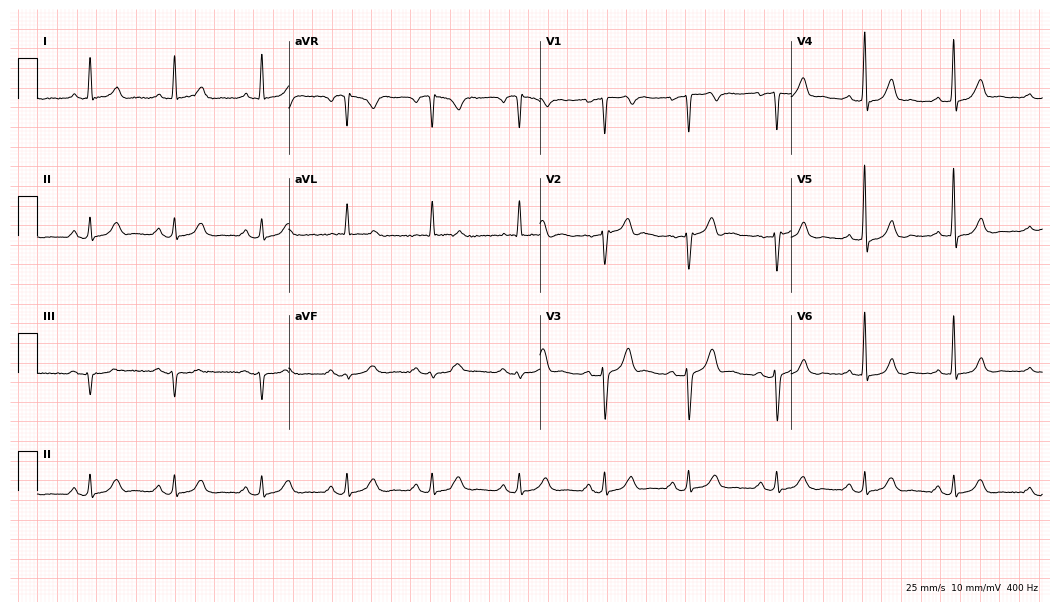
12-lead ECG from a 73-year-old male patient. No first-degree AV block, right bundle branch block (RBBB), left bundle branch block (LBBB), sinus bradycardia, atrial fibrillation (AF) or sinus tachycardia recorded for this tracing.